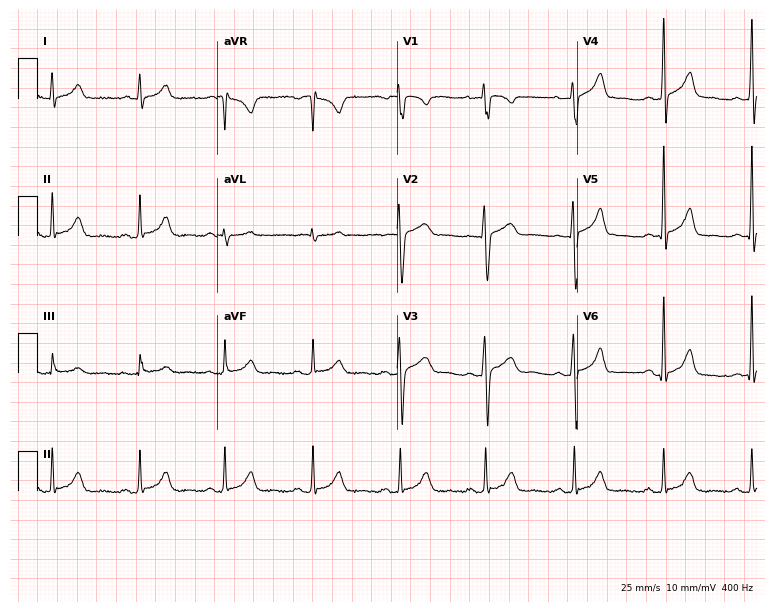
Resting 12-lead electrocardiogram (7.3-second recording at 400 Hz). Patient: a 47-year-old male. None of these six findings is recorded: first-degree AV block, right bundle branch block, left bundle branch block, sinus bradycardia, atrial fibrillation, sinus tachycardia. Other findings, if any, are not listed.